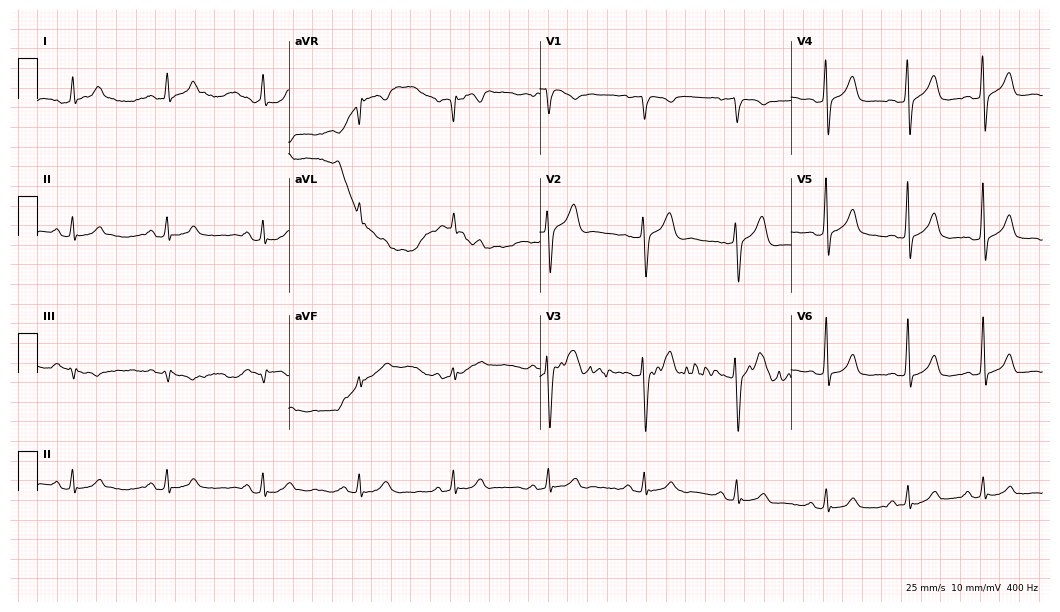
12-lead ECG from a male, 71 years old (10.2-second recording at 400 Hz). No first-degree AV block, right bundle branch block, left bundle branch block, sinus bradycardia, atrial fibrillation or sinus tachycardia recorded for this tracing. Findings outside these six are not listed.